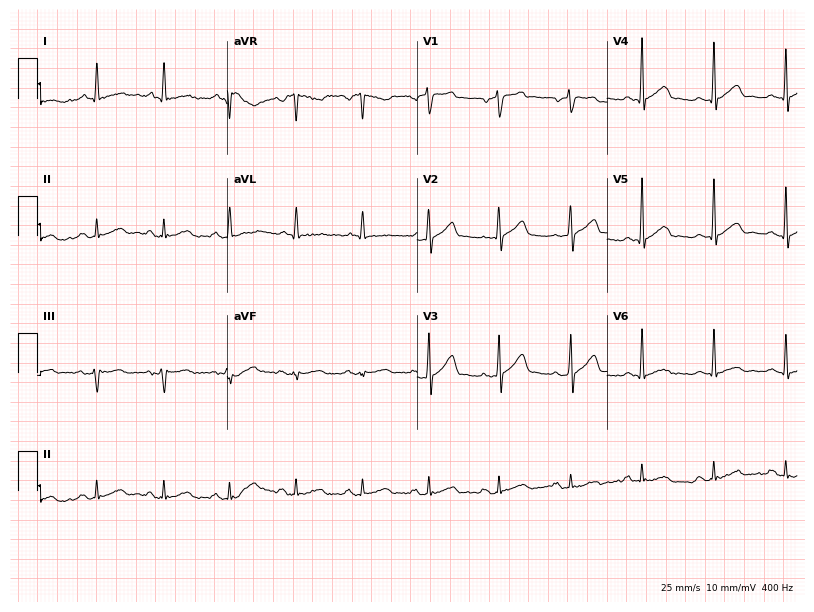
ECG (7.7-second recording at 400 Hz) — a 56-year-old male patient. Screened for six findings — first-degree AV block, right bundle branch block, left bundle branch block, sinus bradycardia, atrial fibrillation, sinus tachycardia — none is recorded. Findings outside these six are not listed.